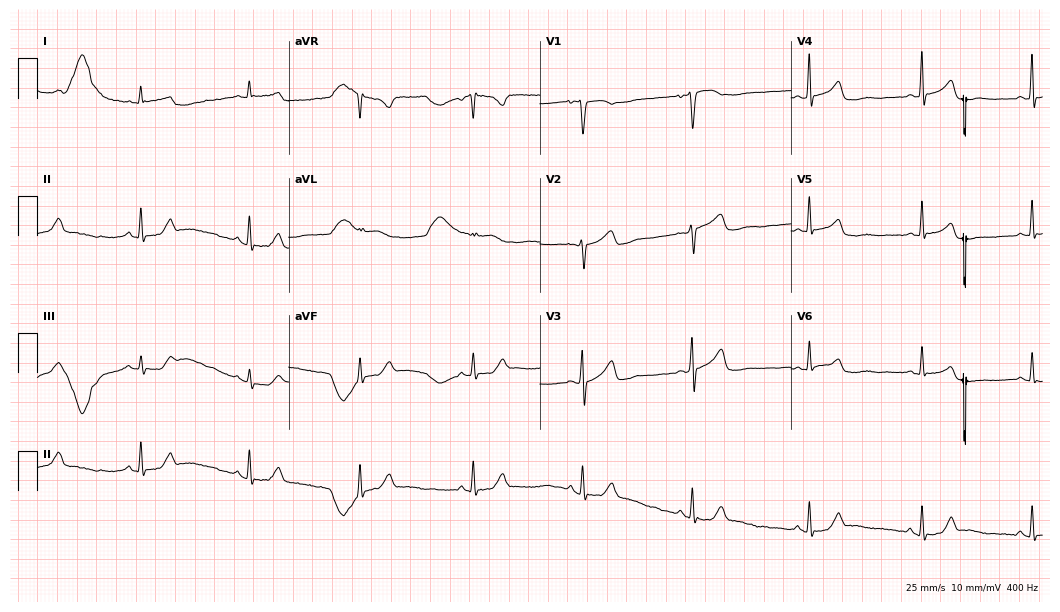
Standard 12-lead ECG recorded from a female patient, 44 years old. Read as a normal ECG.